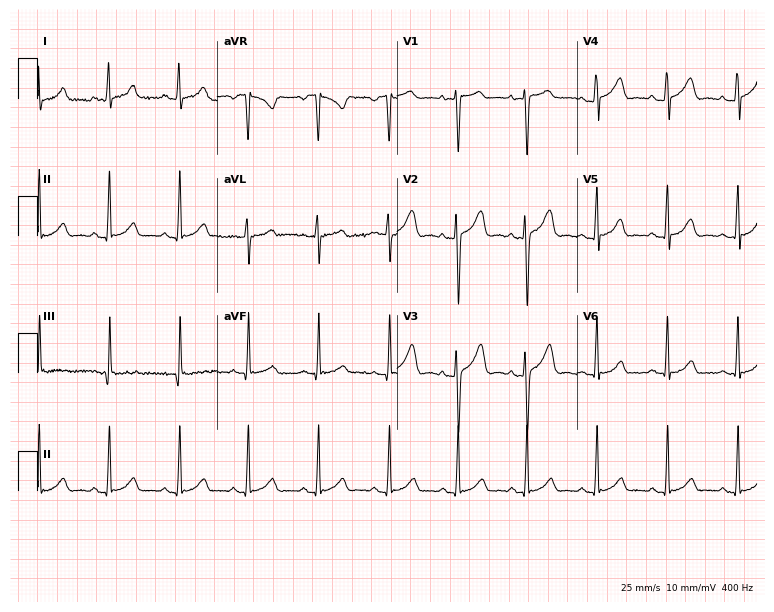
12-lead ECG from a female patient, 39 years old (7.3-second recording at 400 Hz). Recorded interpretation: within normal limits.